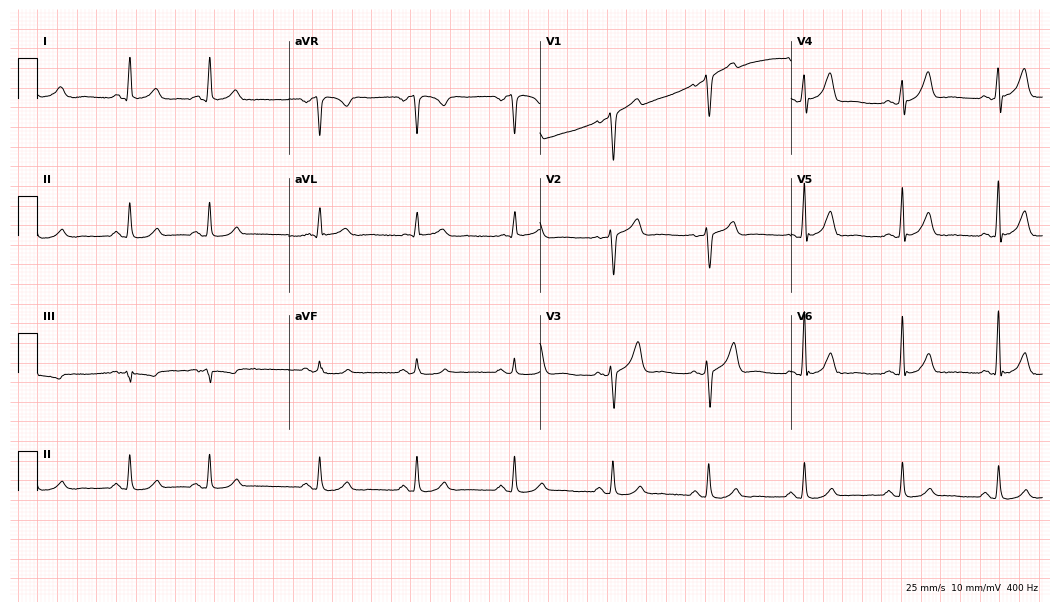
12-lead ECG (10.2-second recording at 400 Hz) from a female, 61 years old. Screened for six findings — first-degree AV block, right bundle branch block (RBBB), left bundle branch block (LBBB), sinus bradycardia, atrial fibrillation (AF), sinus tachycardia — none is recorded. Findings outside these six are not listed.